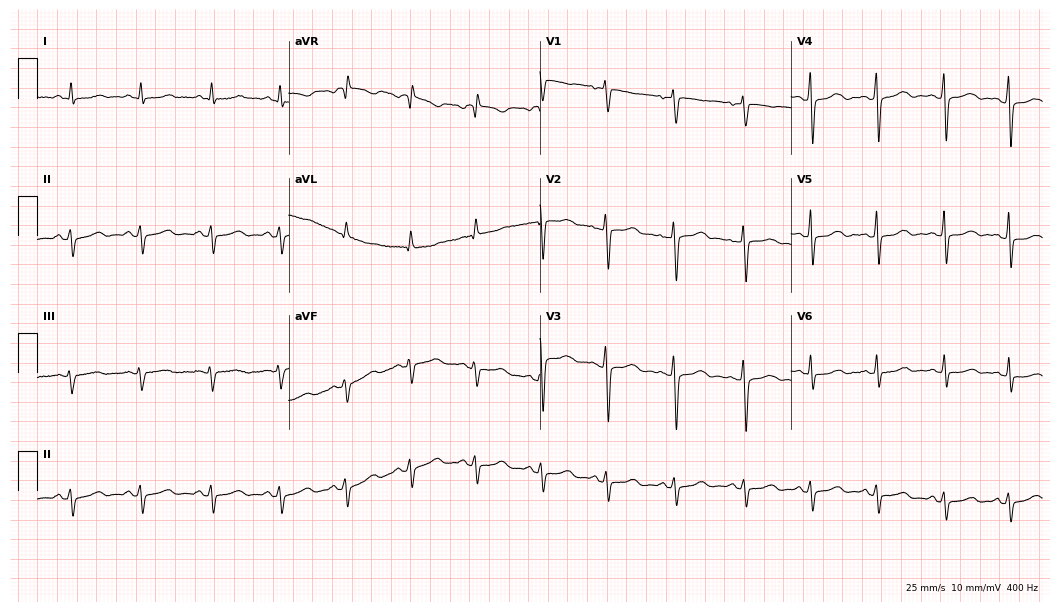
Standard 12-lead ECG recorded from a 57-year-old woman. None of these six findings is recorded: first-degree AV block, right bundle branch block, left bundle branch block, sinus bradycardia, atrial fibrillation, sinus tachycardia. Only these six findings were labelled.